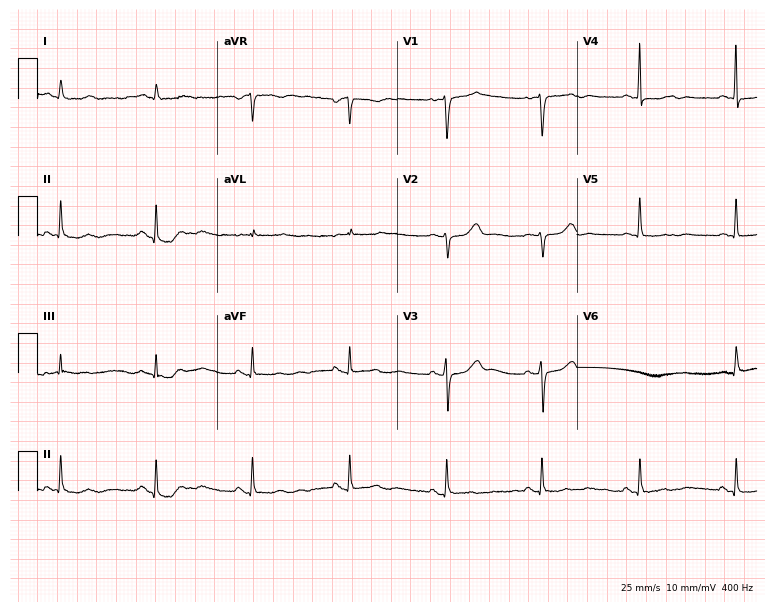
12-lead ECG from a female, 51 years old. Screened for six findings — first-degree AV block, right bundle branch block, left bundle branch block, sinus bradycardia, atrial fibrillation, sinus tachycardia — none is recorded. Findings outside these six are not listed.